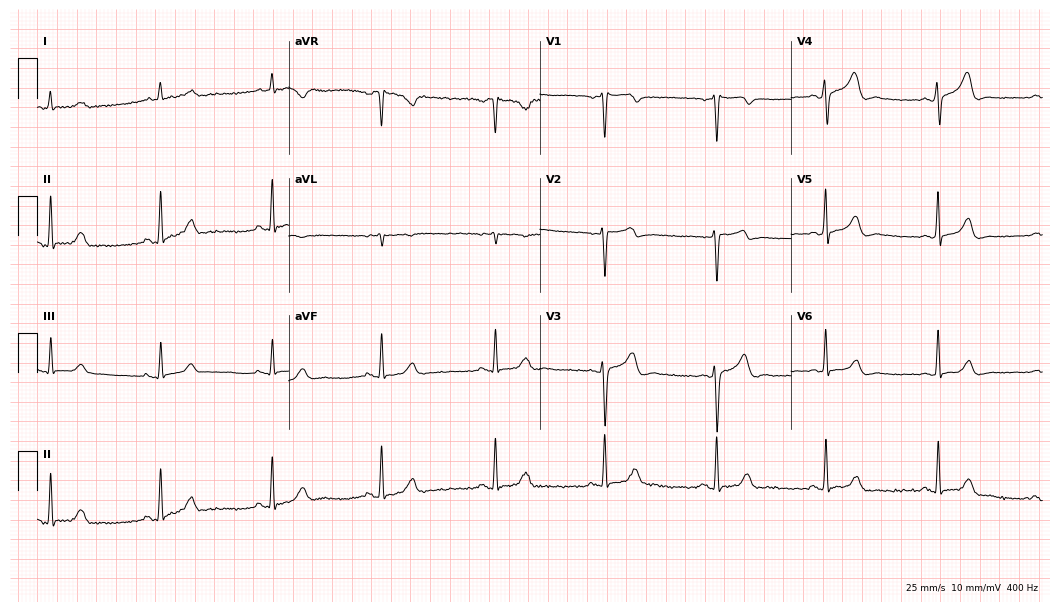
Electrocardiogram, a 63-year-old man. Overall reading on record: normal ECG.